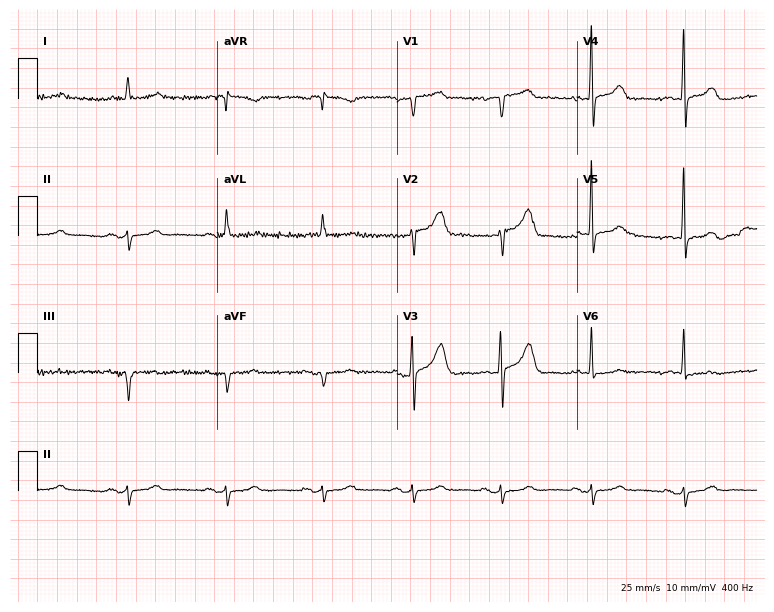
Standard 12-lead ECG recorded from a 73-year-old female patient (7.3-second recording at 400 Hz). None of these six findings is recorded: first-degree AV block, right bundle branch block (RBBB), left bundle branch block (LBBB), sinus bradycardia, atrial fibrillation (AF), sinus tachycardia. Other findings, if any, are not listed.